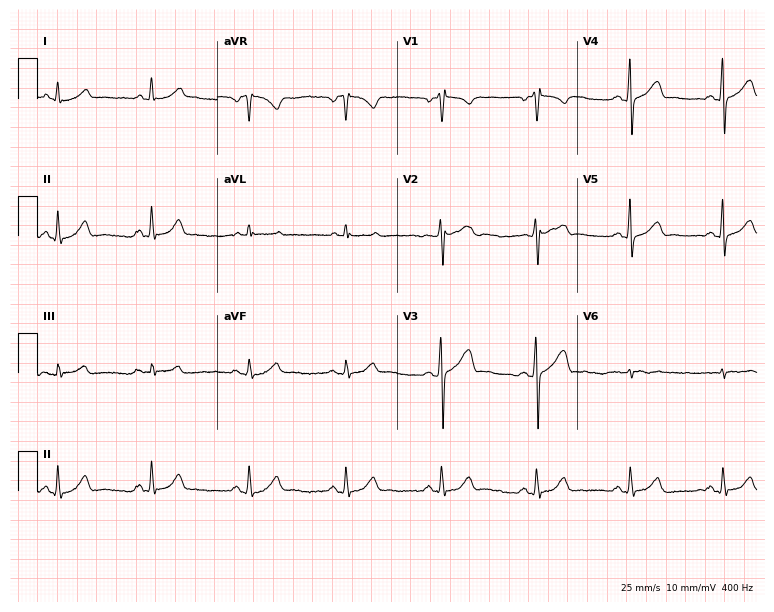
ECG (7.3-second recording at 400 Hz) — a 28-year-old man. Labelled as a normal ECG.